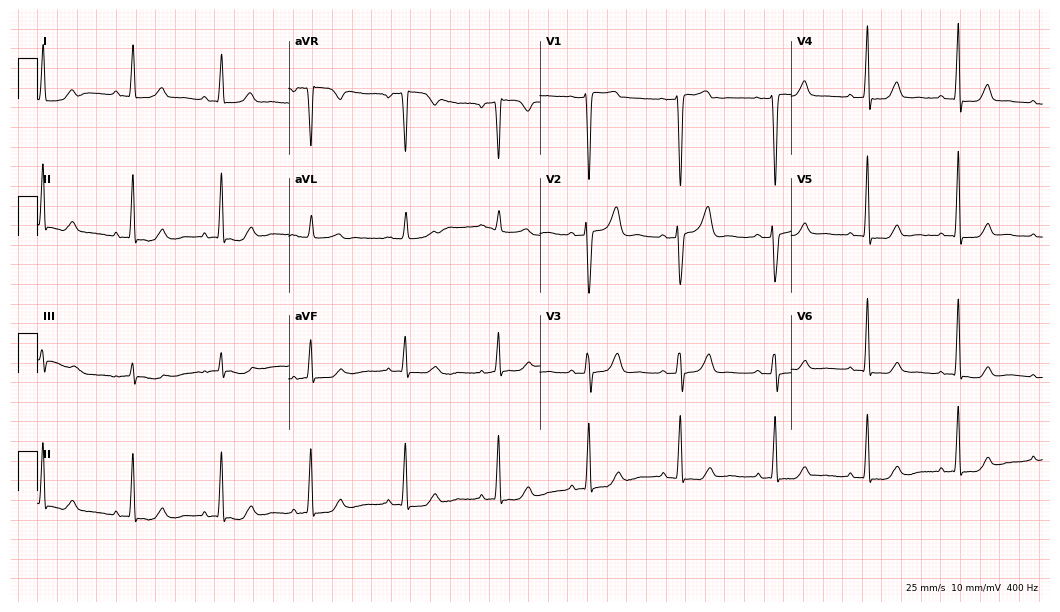
Electrocardiogram, a female, 52 years old. Of the six screened findings (first-degree AV block, right bundle branch block, left bundle branch block, sinus bradycardia, atrial fibrillation, sinus tachycardia), none is recorded.